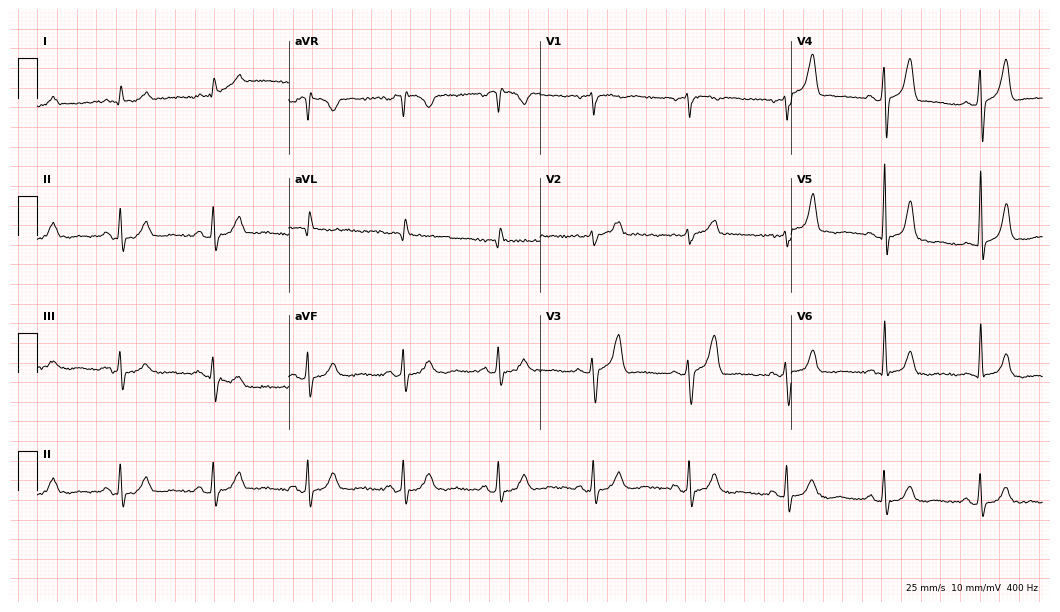
ECG — a male patient, 84 years old. Labelled as a normal ECG.